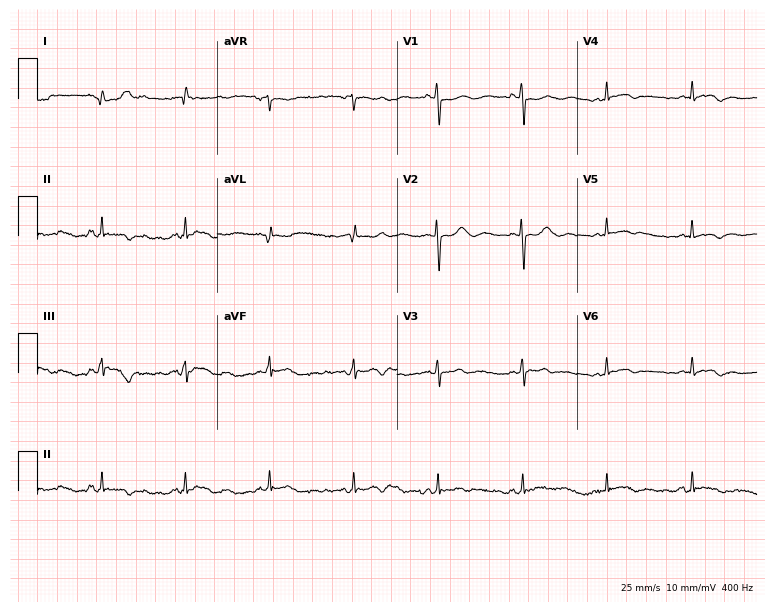
Electrocardiogram (7.3-second recording at 400 Hz), a female patient, 69 years old. Overall reading on record: normal ECG.